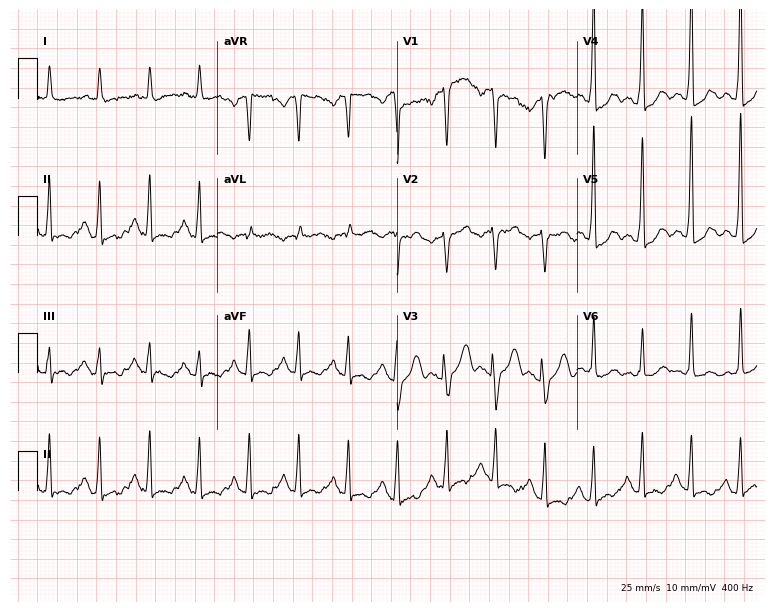
Standard 12-lead ECG recorded from a man, 46 years old (7.3-second recording at 400 Hz). The tracing shows sinus tachycardia (a sinus rate of 100 beats per minute or more).